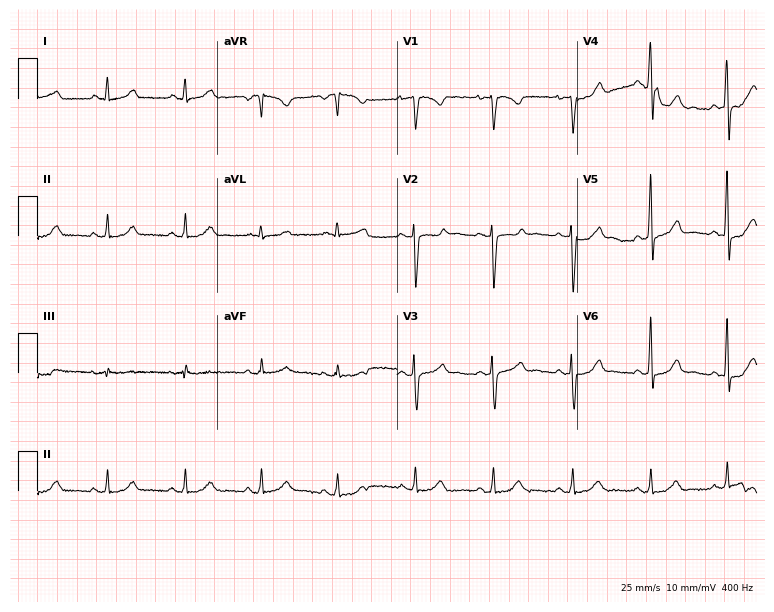
12-lead ECG from a female patient, 42 years old. Screened for six findings — first-degree AV block, right bundle branch block, left bundle branch block, sinus bradycardia, atrial fibrillation, sinus tachycardia — none is recorded. Other findings, if any, are not listed.